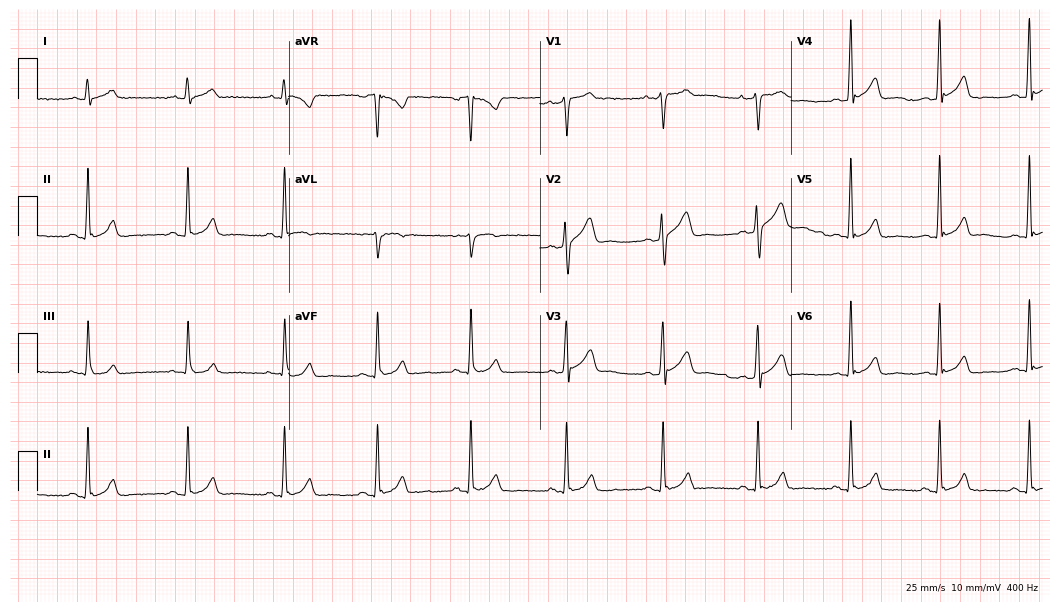
Resting 12-lead electrocardiogram (10.2-second recording at 400 Hz). Patient: a male, 30 years old. Read as a normal ECG.